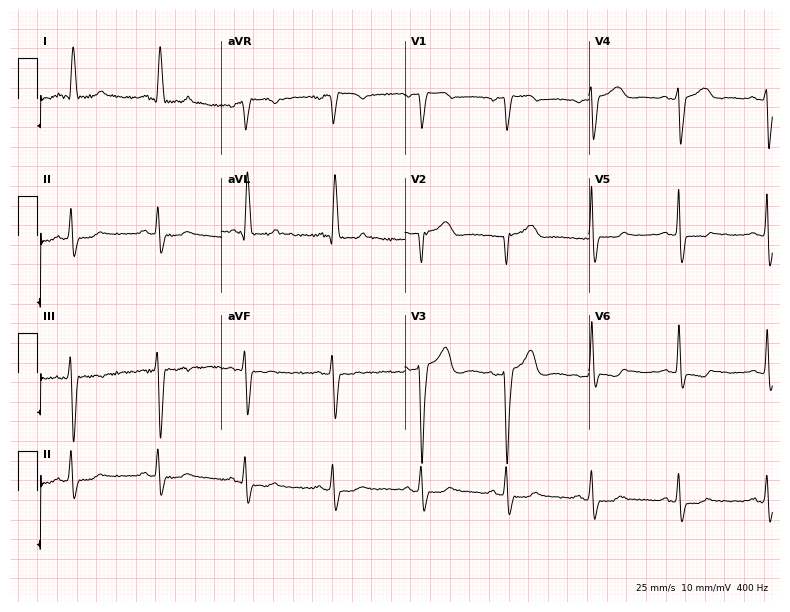
Resting 12-lead electrocardiogram (7.5-second recording at 400 Hz). Patient: a female, 66 years old. None of these six findings is recorded: first-degree AV block, right bundle branch block, left bundle branch block, sinus bradycardia, atrial fibrillation, sinus tachycardia. Findings outside these six are not listed.